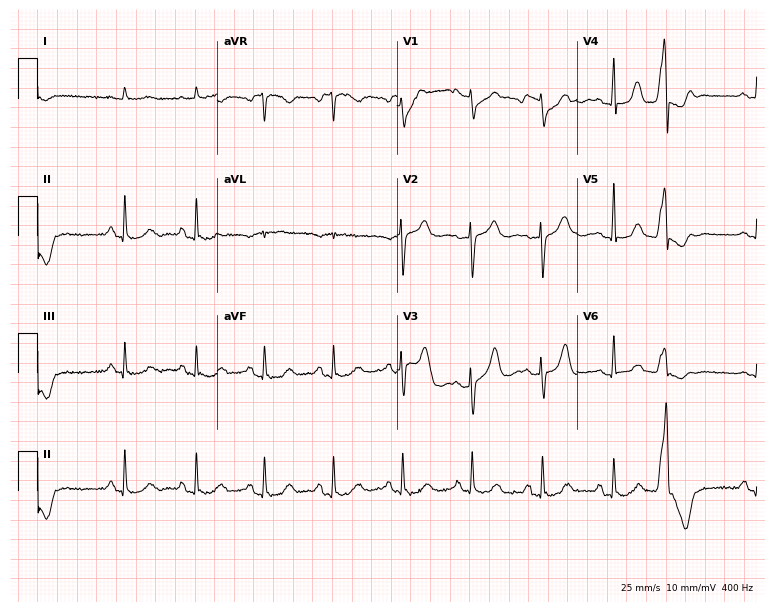
ECG — a man, 82 years old. Screened for six findings — first-degree AV block, right bundle branch block, left bundle branch block, sinus bradycardia, atrial fibrillation, sinus tachycardia — none is recorded. Only these six findings were labelled.